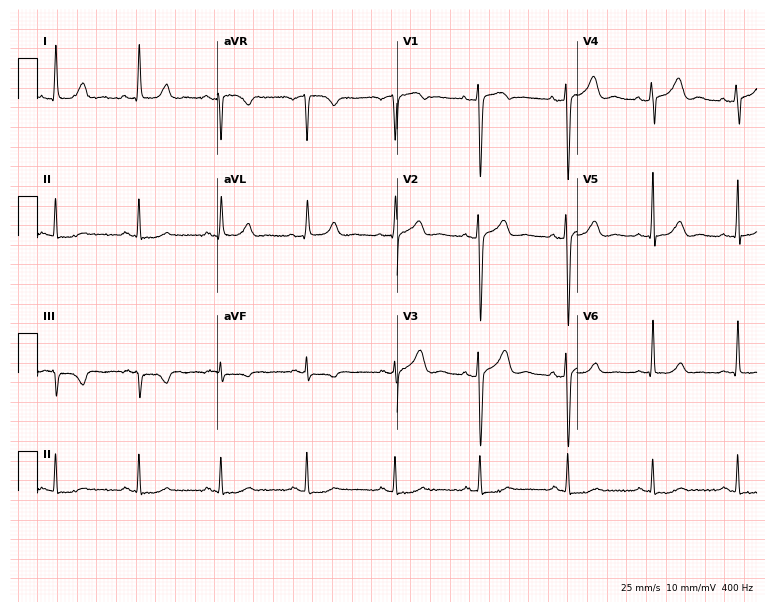
Standard 12-lead ECG recorded from a 44-year-old female (7.3-second recording at 400 Hz). None of these six findings is recorded: first-degree AV block, right bundle branch block, left bundle branch block, sinus bradycardia, atrial fibrillation, sinus tachycardia. Other findings, if any, are not listed.